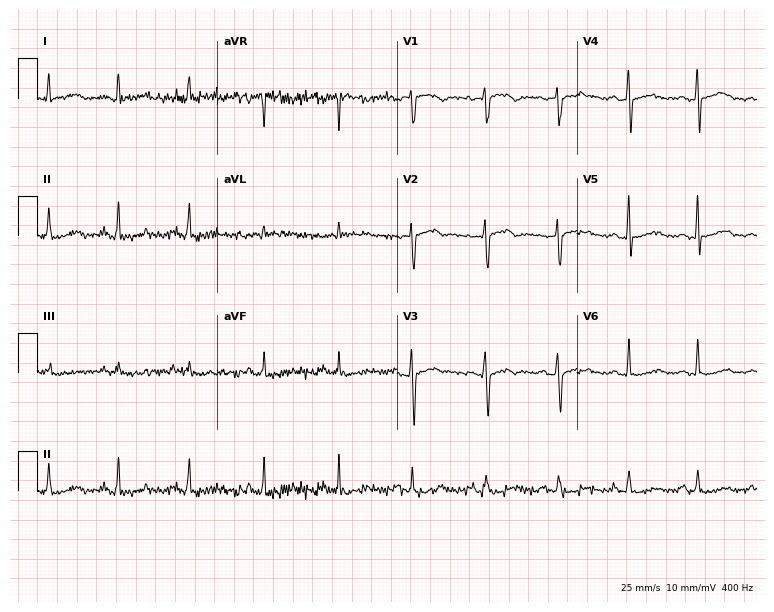
Electrocardiogram (7.3-second recording at 400 Hz), a 58-year-old woman. Of the six screened findings (first-degree AV block, right bundle branch block, left bundle branch block, sinus bradycardia, atrial fibrillation, sinus tachycardia), none is recorded. Only these six findings were labelled.